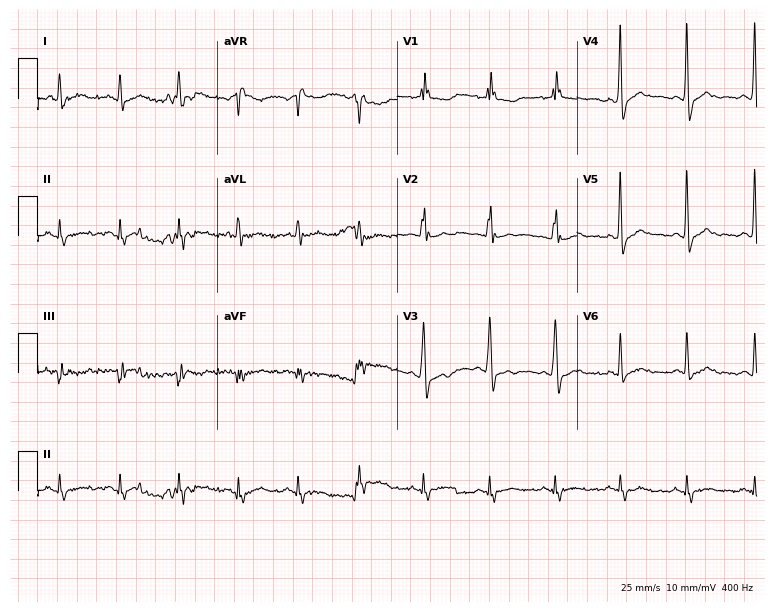
Electrocardiogram, a male patient, 54 years old. Interpretation includes right bundle branch block.